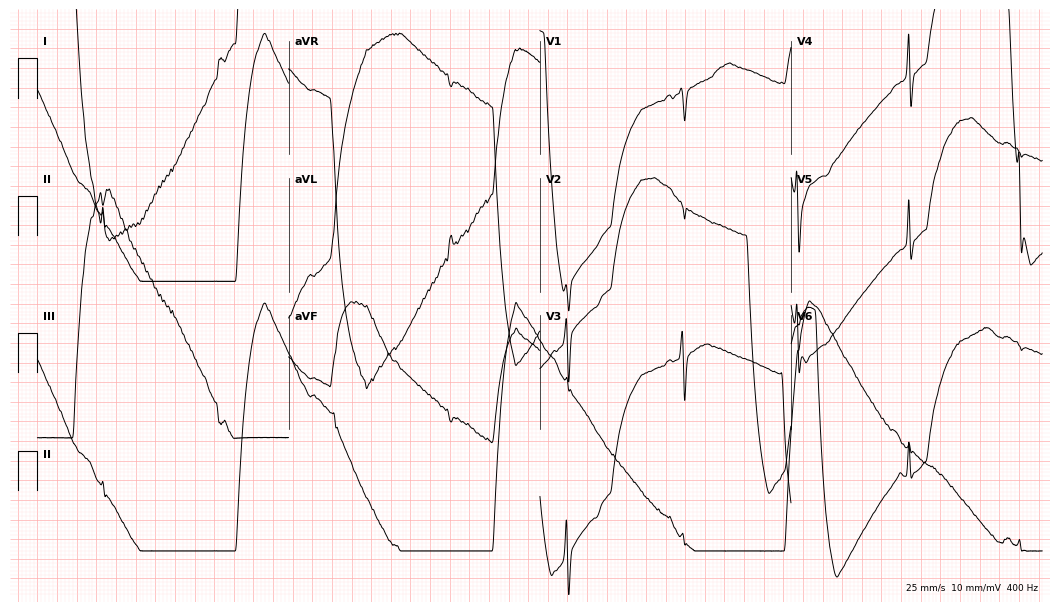
12-lead ECG (10.2-second recording at 400 Hz) from a 76-year-old female. Screened for six findings — first-degree AV block, right bundle branch block, left bundle branch block, sinus bradycardia, atrial fibrillation, sinus tachycardia — none is recorded. Other findings, if any, are not listed.